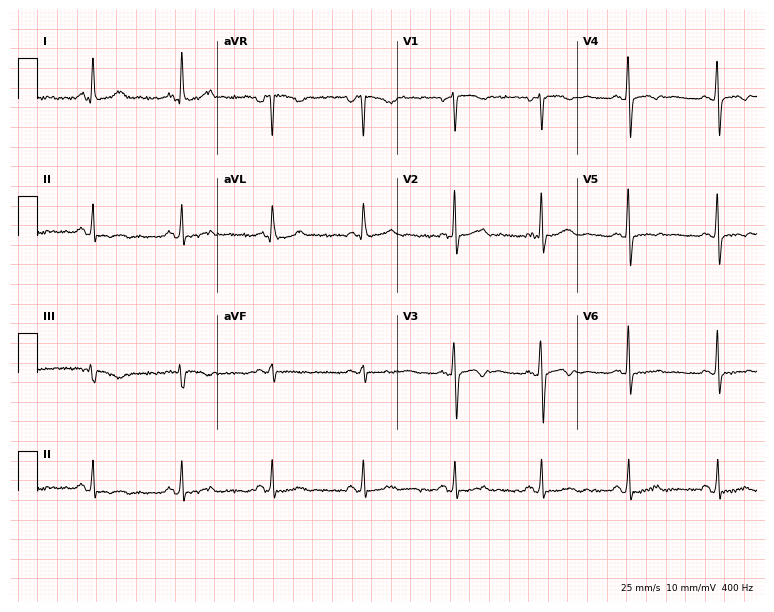
ECG (7.3-second recording at 400 Hz) — a 55-year-old woman. Labelled as a normal ECG.